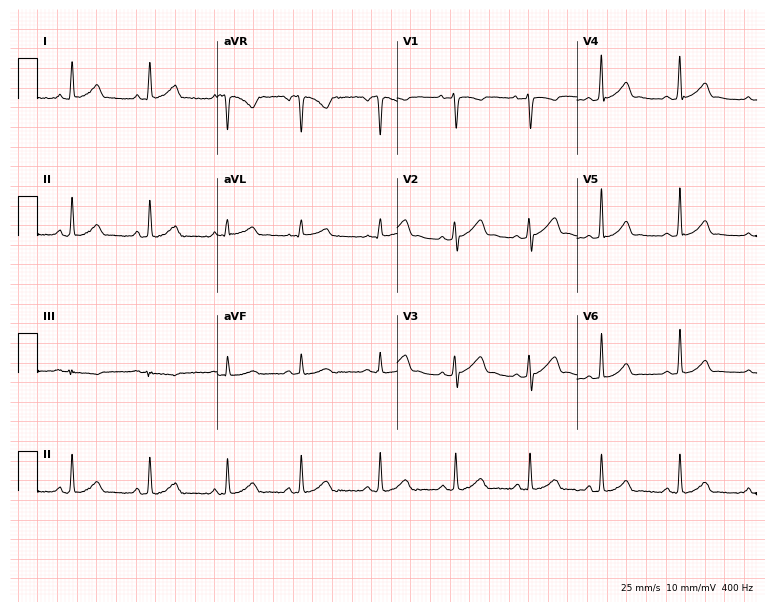
Standard 12-lead ECG recorded from a 19-year-old woman (7.3-second recording at 400 Hz). None of these six findings is recorded: first-degree AV block, right bundle branch block (RBBB), left bundle branch block (LBBB), sinus bradycardia, atrial fibrillation (AF), sinus tachycardia. Other findings, if any, are not listed.